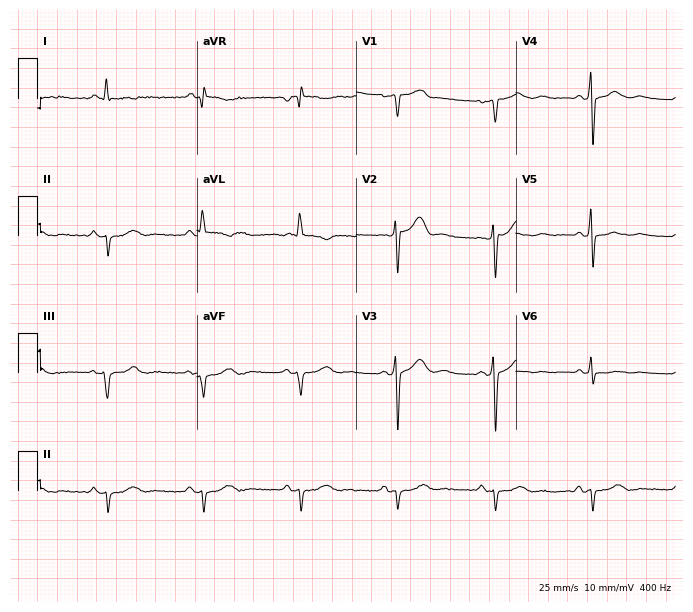
Resting 12-lead electrocardiogram (6.5-second recording at 400 Hz). Patient: a male, 60 years old. None of these six findings is recorded: first-degree AV block, right bundle branch block, left bundle branch block, sinus bradycardia, atrial fibrillation, sinus tachycardia. Findings outside these six are not listed.